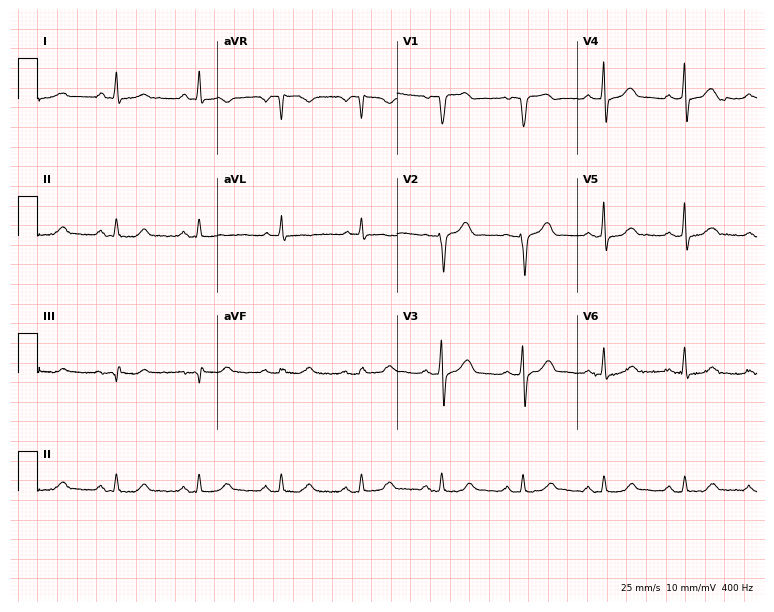
12-lead ECG (7.3-second recording at 400 Hz) from a male patient, 60 years old. Labelled as a normal ECG.